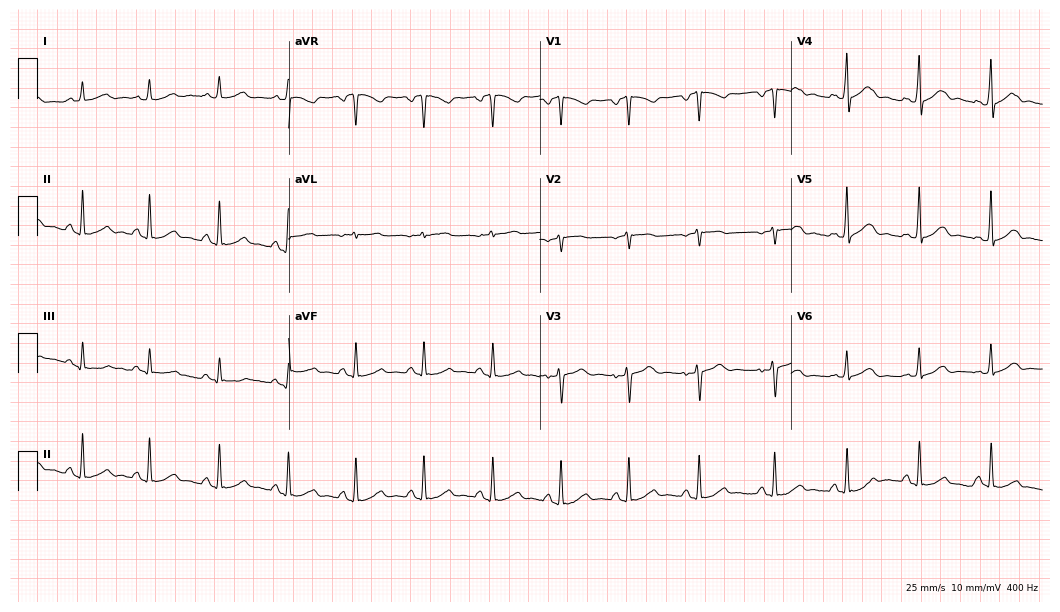
ECG (10.2-second recording at 400 Hz) — a 47-year-old female patient. Labelled as a normal ECG.